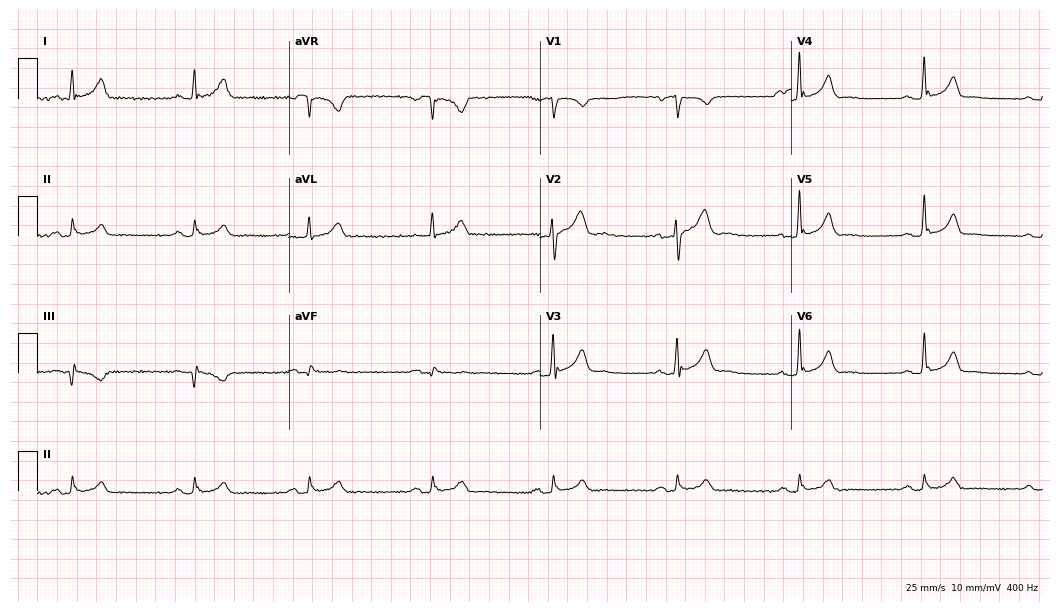
Resting 12-lead electrocardiogram. Patient: a 42-year-old male. The tracing shows first-degree AV block, right bundle branch block.